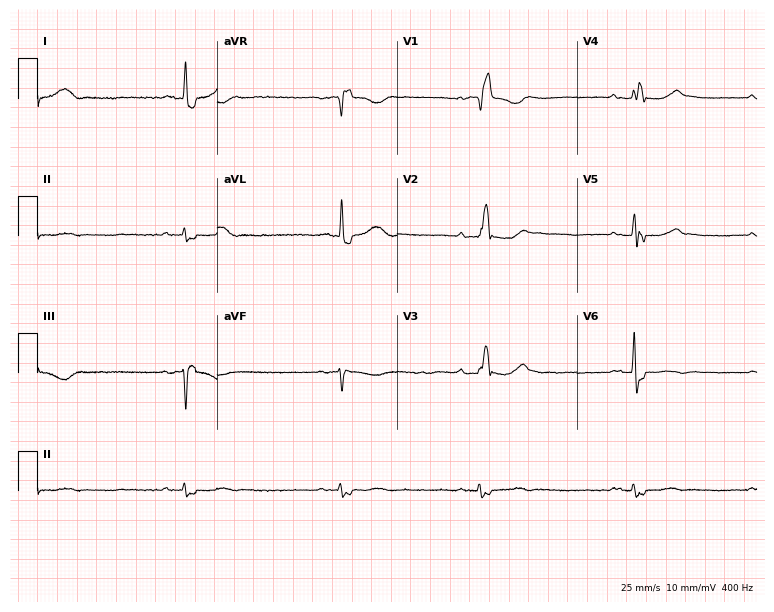
12-lead ECG (7.3-second recording at 400 Hz) from a male patient, 75 years old. Findings include first-degree AV block, right bundle branch block, sinus bradycardia (a sinus rate of 50 beats per minute or less).